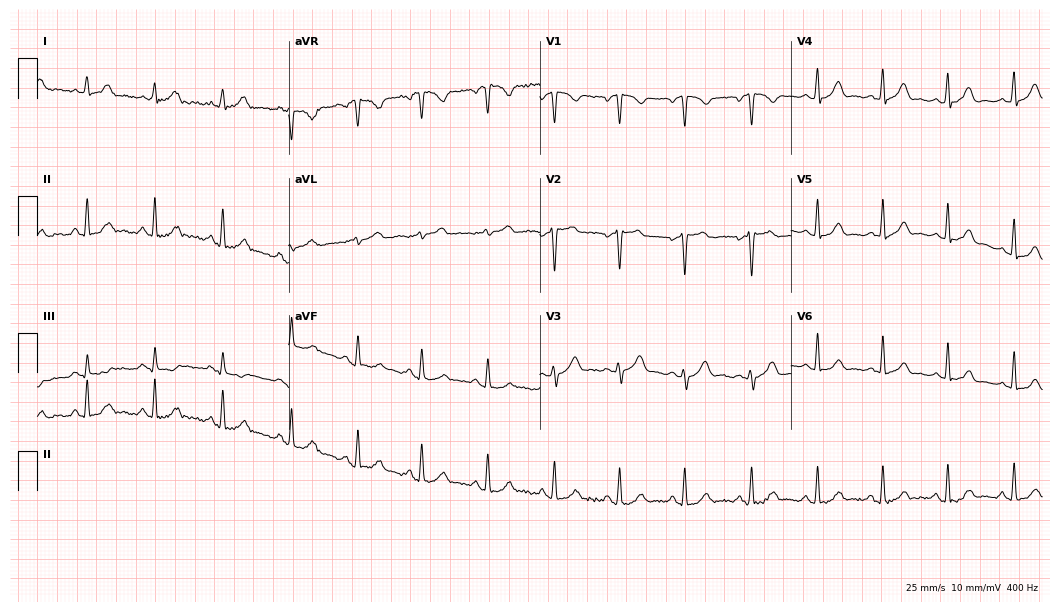
ECG (10.2-second recording at 400 Hz) — a female patient, 49 years old. Labelled as a normal ECG.